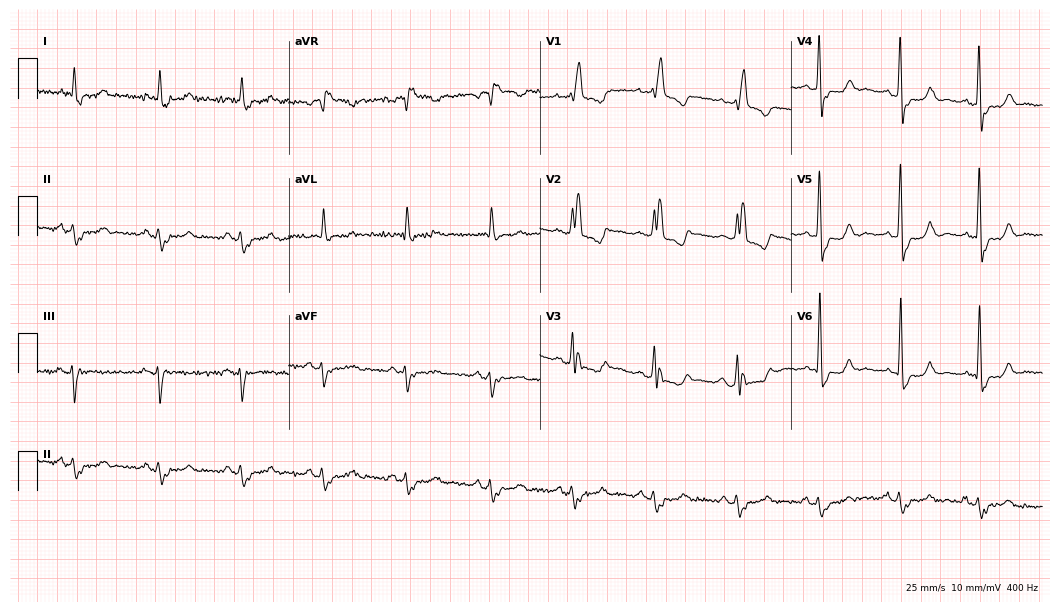
12-lead ECG from a 79-year-old man. Screened for six findings — first-degree AV block, right bundle branch block, left bundle branch block, sinus bradycardia, atrial fibrillation, sinus tachycardia — none is recorded.